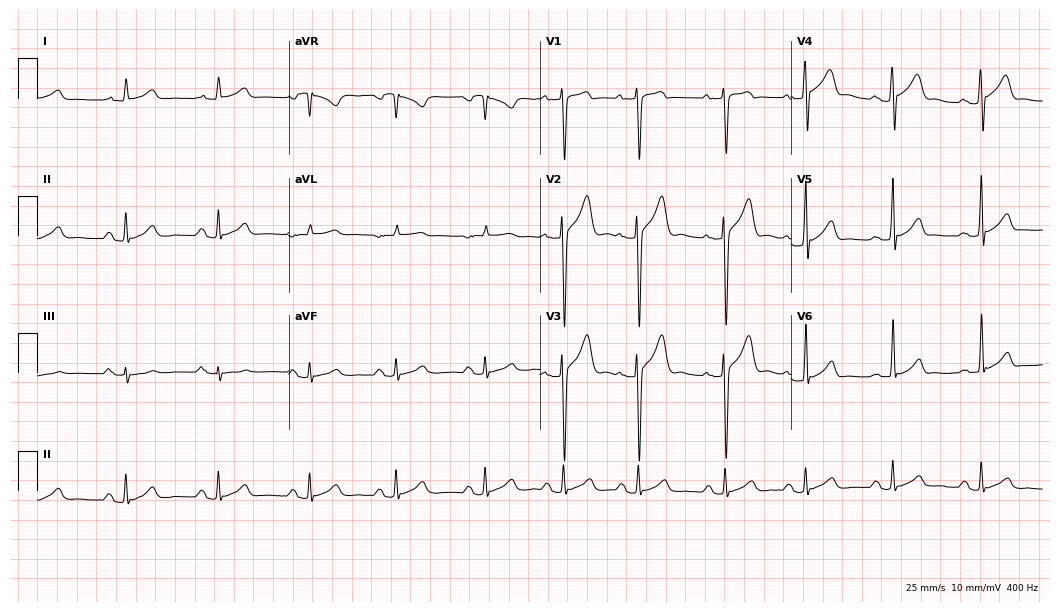
12-lead ECG from a 22-year-old male (10.2-second recording at 400 Hz). Recorded interpretation: within normal limits.